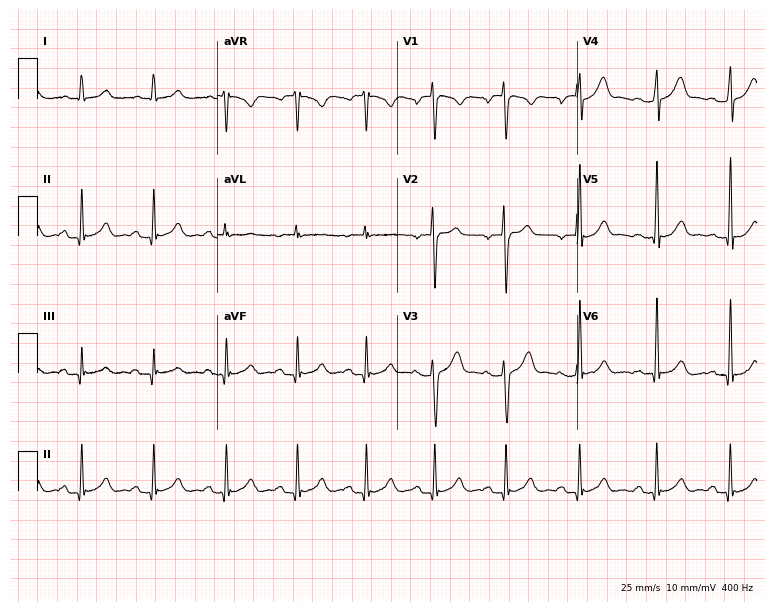
12-lead ECG from a 20-year-old man (7.3-second recording at 400 Hz). Recorded interpretation: within normal limits.